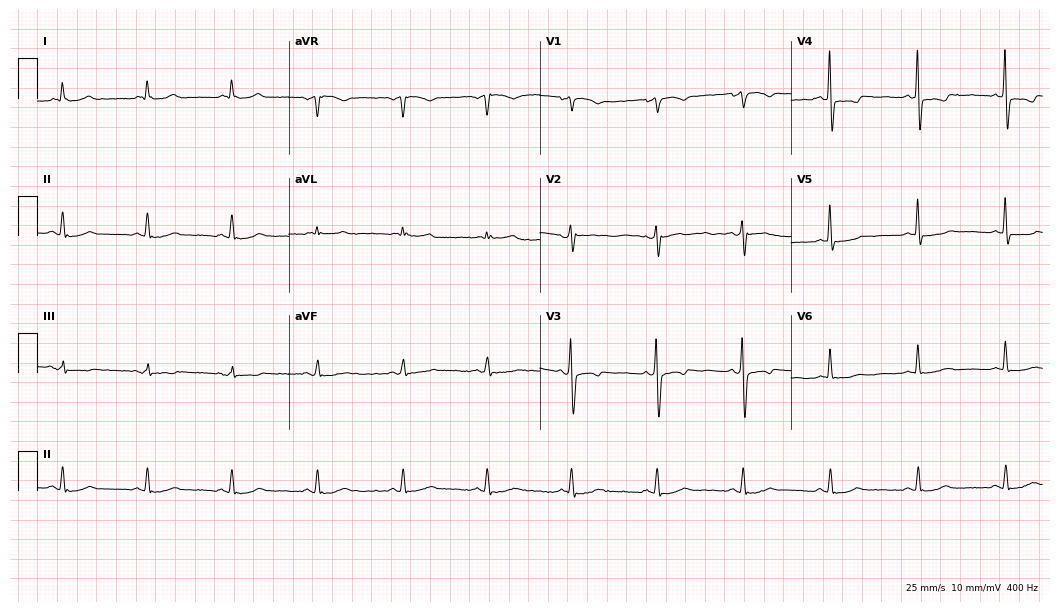
ECG — a woman, 75 years old. Screened for six findings — first-degree AV block, right bundle branch block (RBBB), left bundle branch block (LBBB), sinus bradycardia, atrial fibrillation (AF), sinus tachycardia — none is recorded.